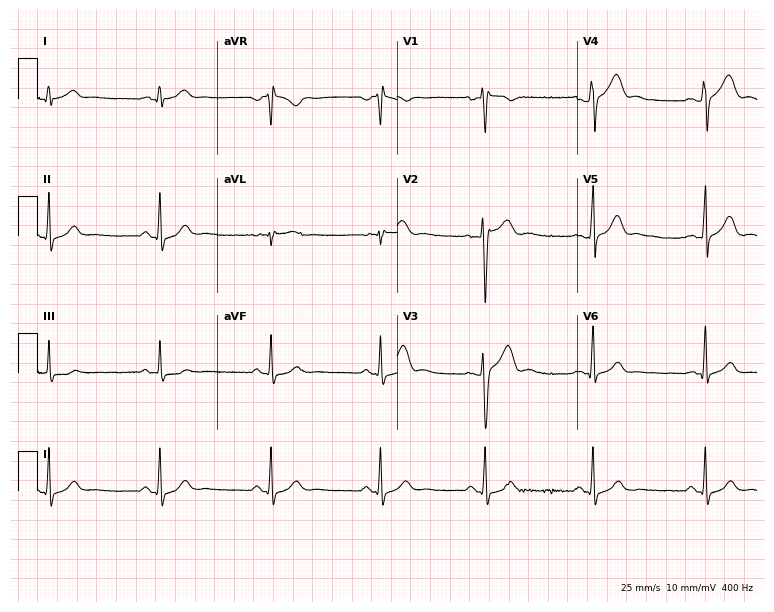
12-lead ECG from a male patient, 22 years old (7.3-second recording at 400 Hz). No first-degree AV block, right bundle branch block, left bundle branch block, sinus bradycardia, atrial fibrillation or sinus tachycardia recorded for this tracing.